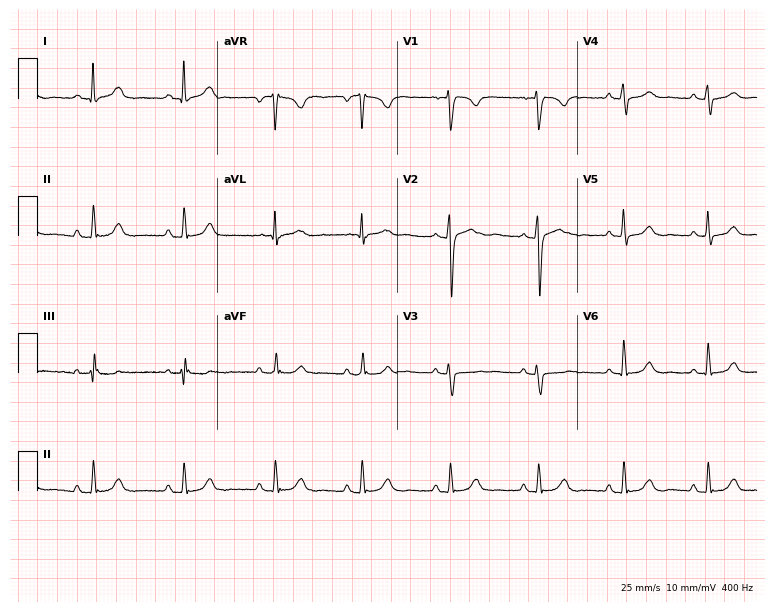
Electrocardiogram (7.3-second recording at 400 Hz), a female, 45 years old. Overall reading on record: normal ECG.